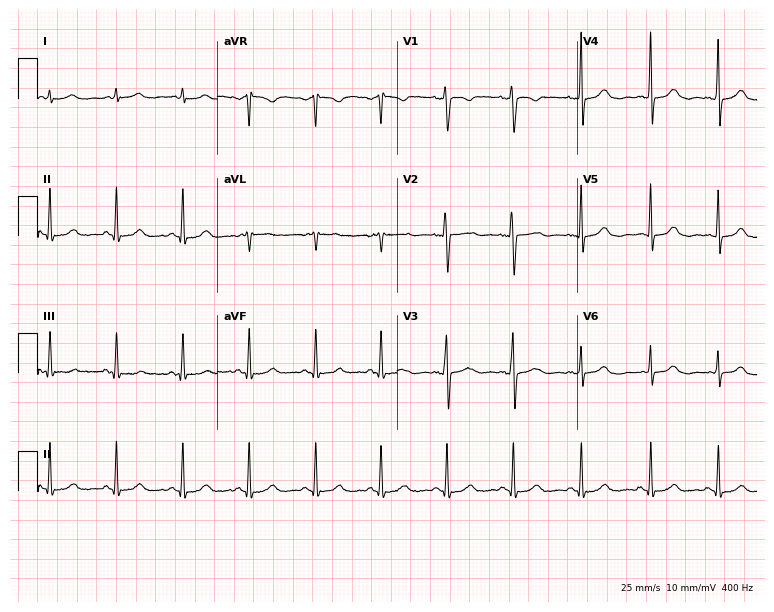
12-lead ECG from a female, 40 years old. Screened for six findings — first-degree AV block, right bundle branch block, left bundle branch block, sinus bradycardia, atrial fibrillation, sinus tachycardia — none is recorded. Only these six findings were labelled.